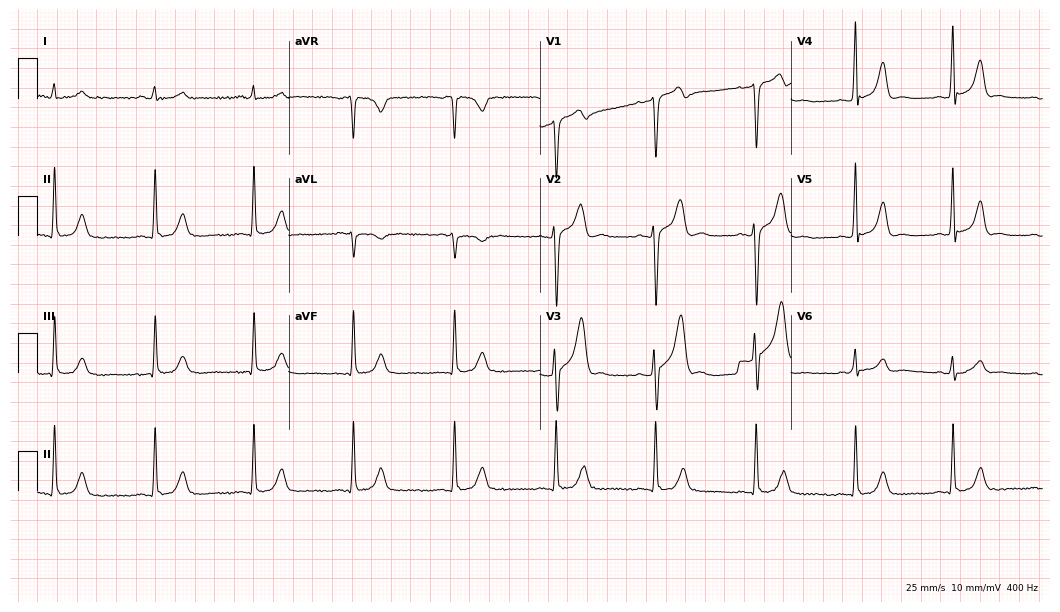
Standard 12-lead ECG recorded from a 38-year-old male (10.2-second recording at 400 Hz). Read as a normal ECG.